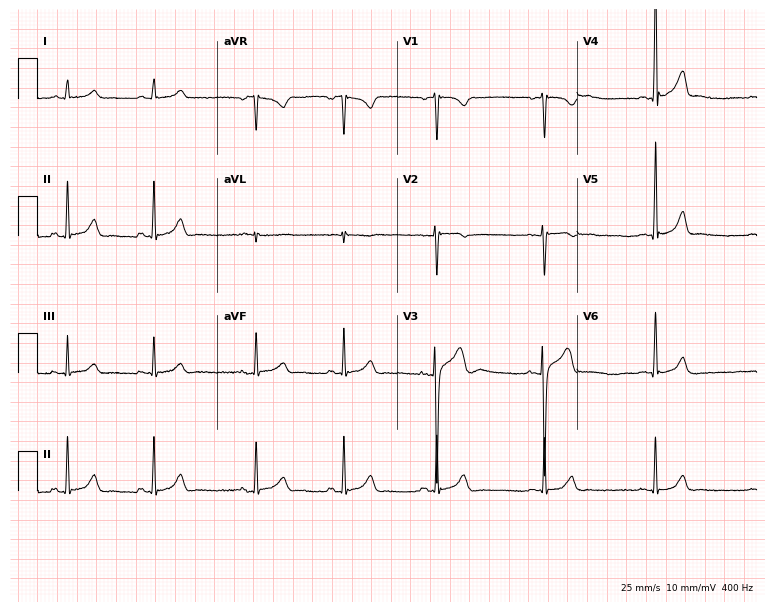
Electrocardiogram, a male patient, 20 years old. Overall reading on record: normal ECG.